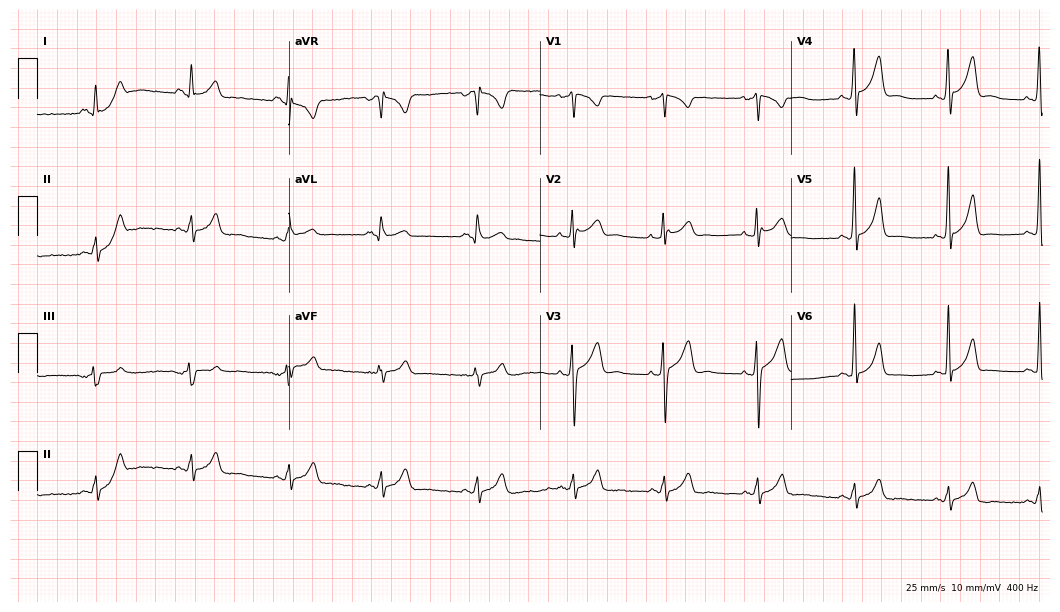
ECG — a 29-year-old male. Labelled as a normal ECG.